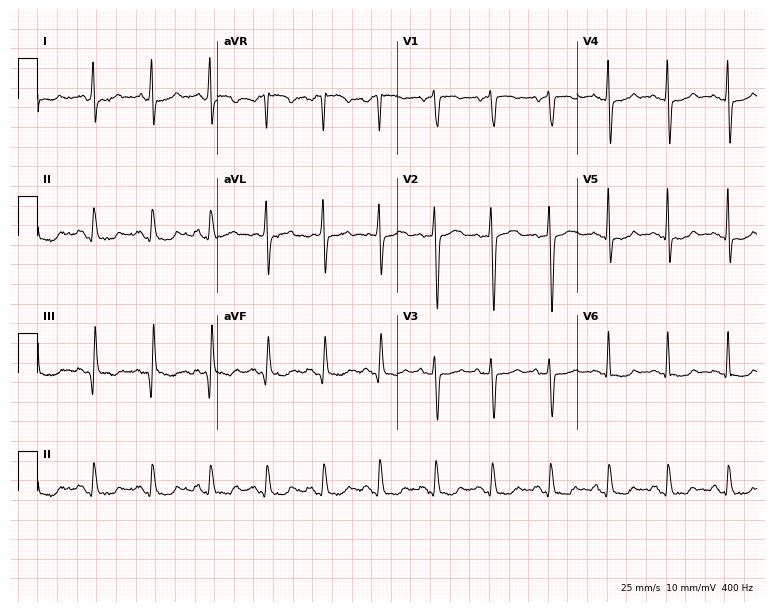
Standard 12-lead ECG recorded from a 50-year-old woman. The tracing shows sinus tachycardia (a sinus rate of 100 beats per minute or more).